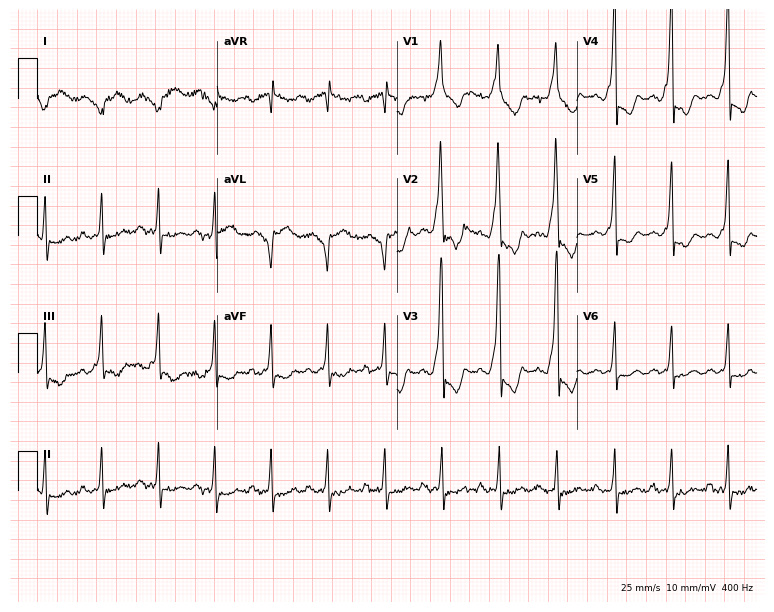
12-lead ECG (7.3-second recording at 400 Hz) from a male patient, 38 years old. Screened for six findings — first-degree AV block, right bundle branch block, left bundle branch block, sinus bradycardia, atrial fibrillation, sinus tachycardia — none is recorded.